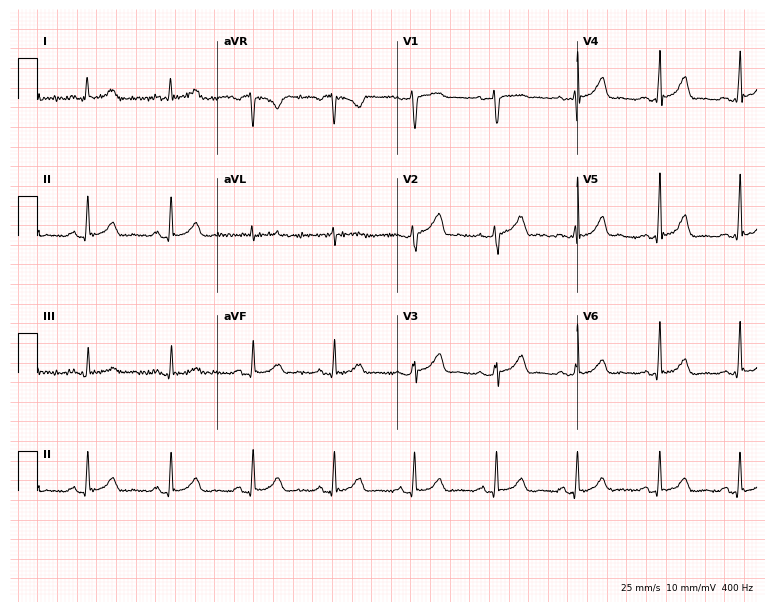
12-lead ECG from a female patient, 44 years old. Recorded interpretation: within normal limits.